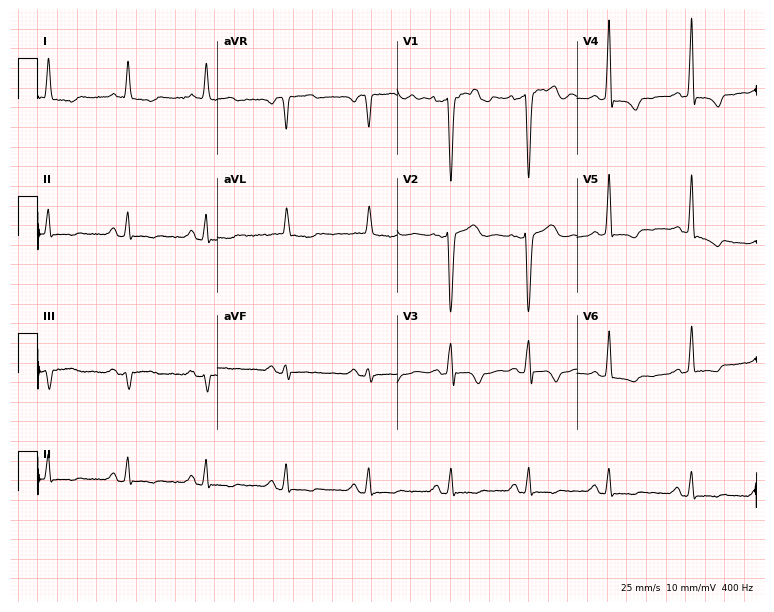
12-lead ECG (7.3-second recording at 400 Hz) from an 83-year-old female. Screened for six findings — first-degree AV block, right bundle branch block, left bundle branch block, sinus bradycardia, atrial fibrillation, sinus tachycardia — none is recorded.